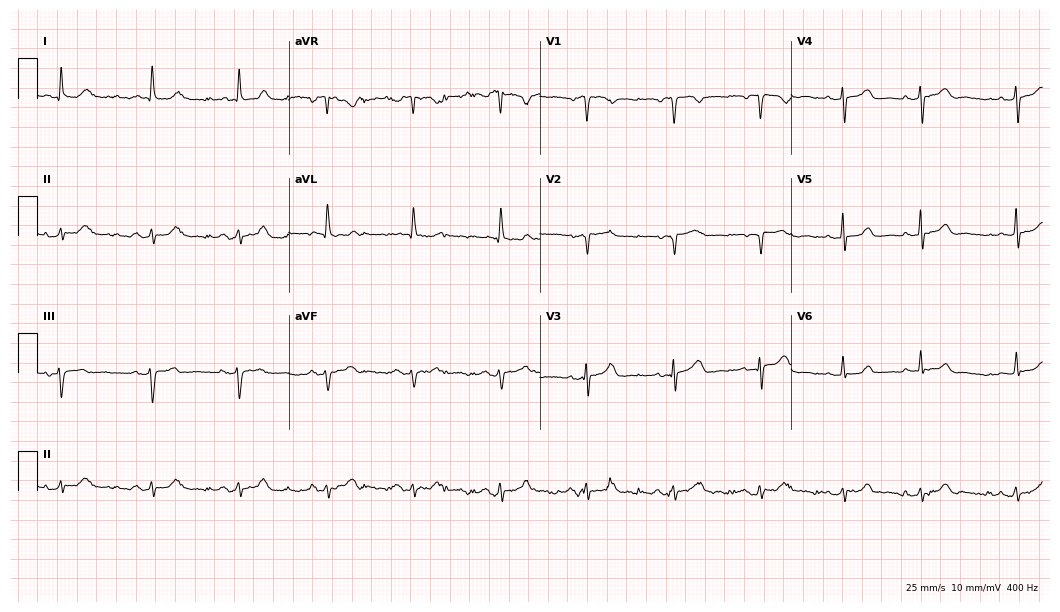
ECG (10.2-second recording at 400 Hz) — a 78-year-old female patient. Screened for six findings — first-degree AV block, right bundle branch block, left bundle branch block, sinus bradycardia, atrial fibrillation, sinus tachycardia — none is recorded. Findings outside these six are not listed.